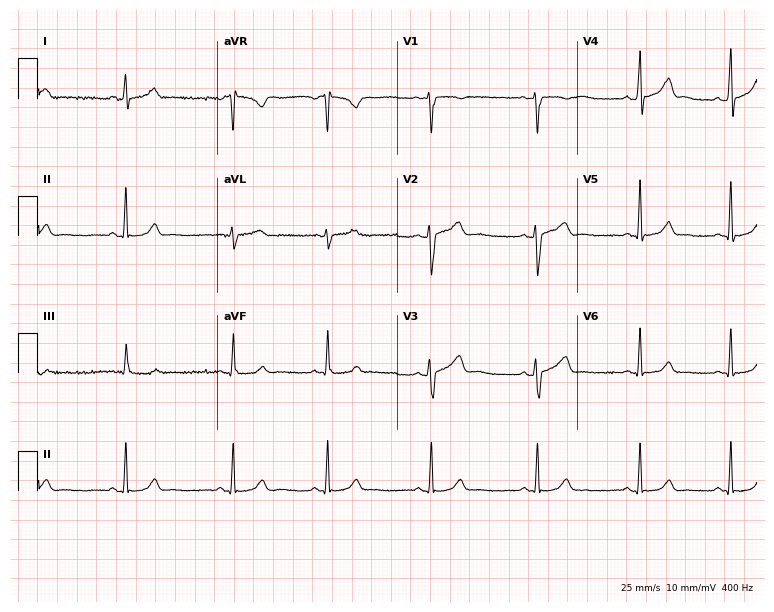
Standard 12-lead ECG recorded from a 19-year-old woman. None of these six findings is recorded: first-degree AV block, right bundle branch block, left bundle branch block, sinus bradycardia, atrial fibrillation, sinus tachycardia. Only these six findings were labelled.